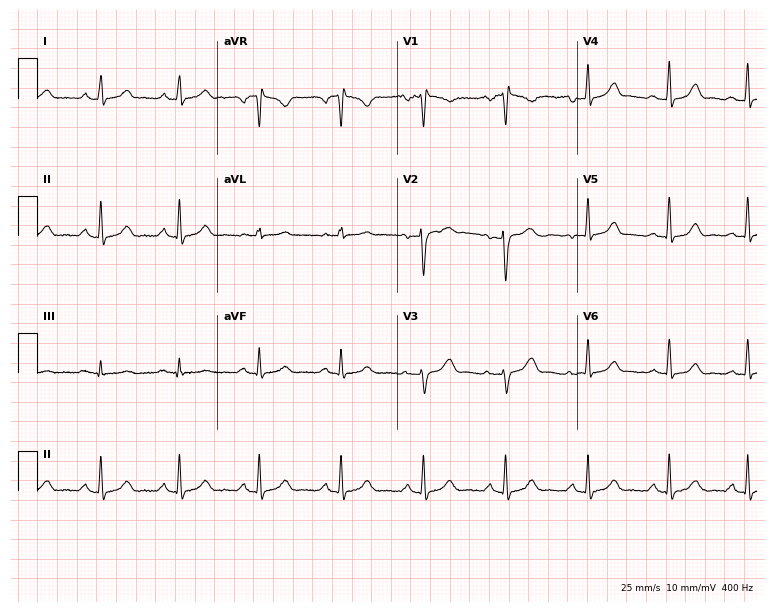
12-lead ECG from a female patient, 40 years old (7.3-second recording at 400 Hz). No first-degree AV block, right bundle branch block, left bundle branch block, sinus bradycardia, atrial fibrillation or sinus tachycardia recorded for this tracing.